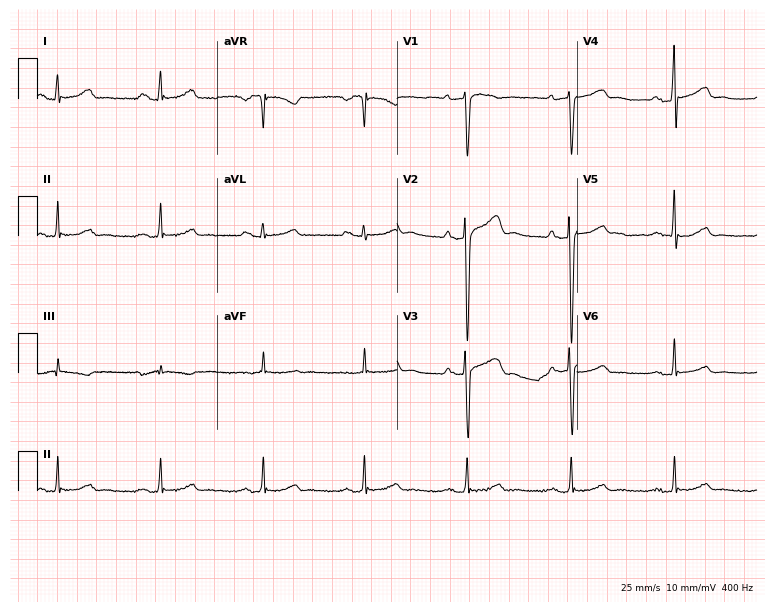
Standard 12-lead ECG recorded from a man, 41 years old. The tracing shows first-degree AV block.